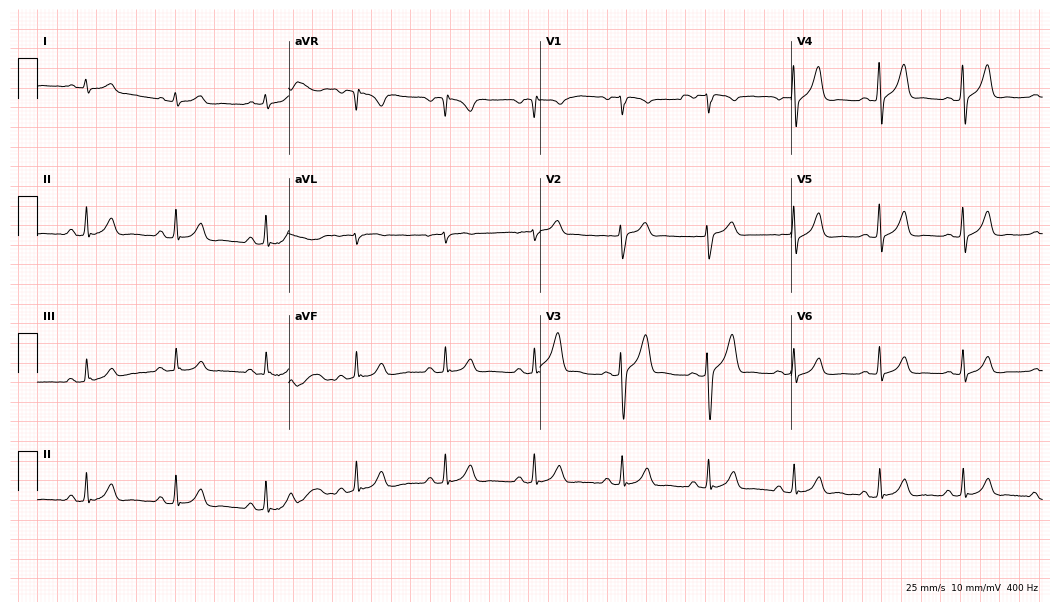
Electrocardiogram (10.2-second recording at 400 Hz), a 40-year-old male patient. Overall reading on record: normal ECG.